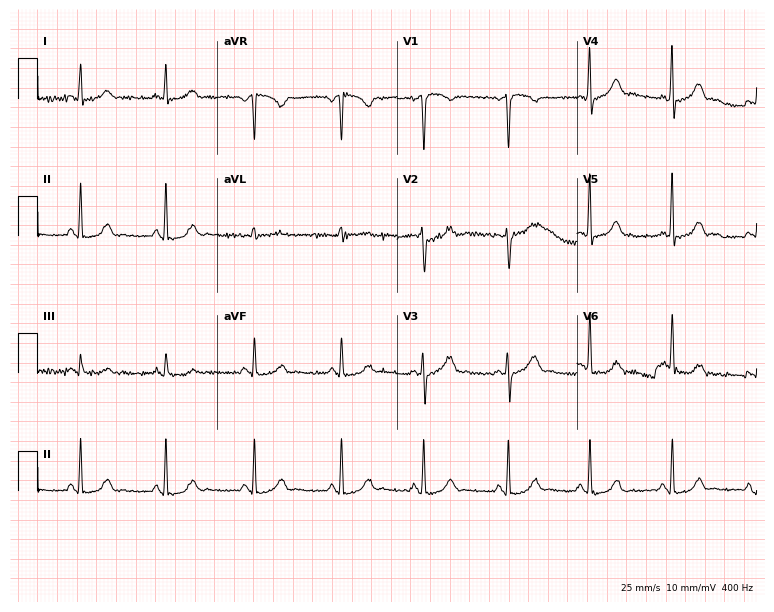
Standard 12-lead ECG recorded from a 43-year-old female. None of these six findings is recorded: first-degree AV block, right bundle branch block (RBBB), left bundle branch block (LBBB), sinus bradycardia, atrial fibrillation (AF), sinus tachycardia. Only these six findings were labelled.